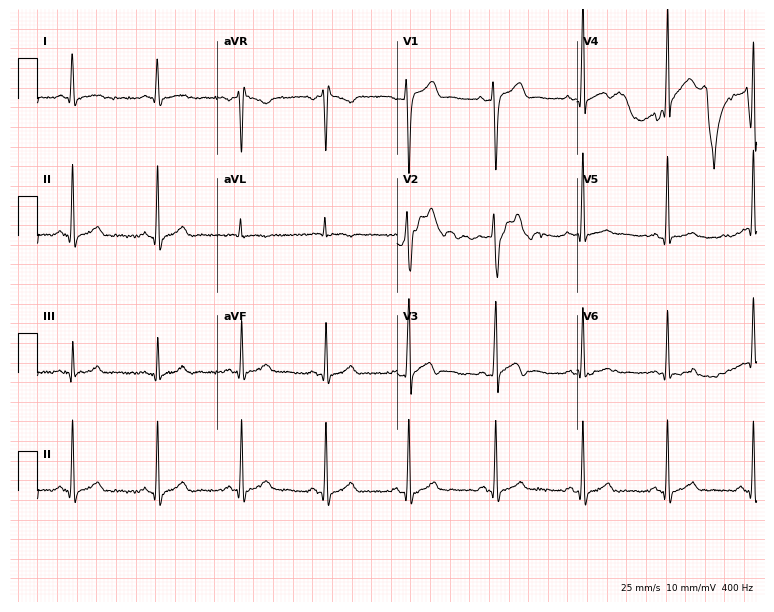
12-lead ECG (7.3-second recording at 400 Hz) from a 30-year-old man. Screened for six findings — first-degree AV block, right bundle branch block, left bundle branch block, sinus bradycardia, atrial fibrillation, sinus tachycardia — none is recorded. Findings outside these six are not listed.